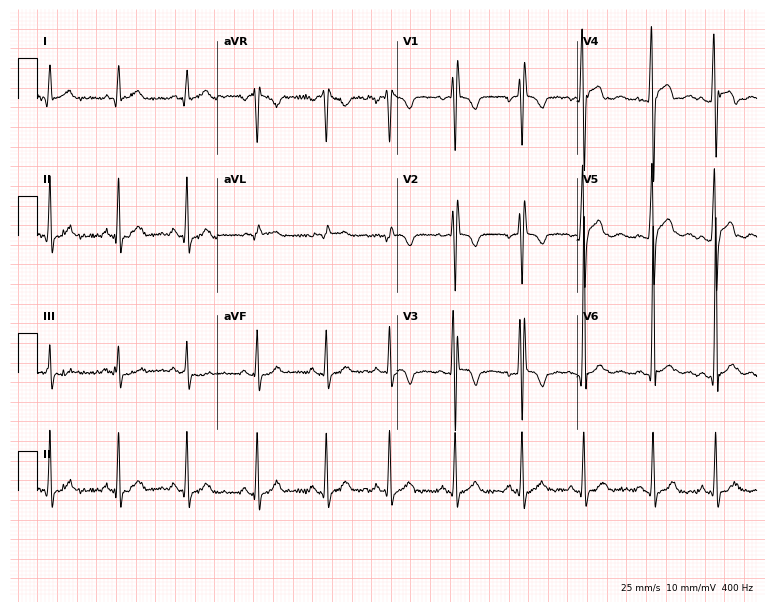
12-lead ECG from a 17-year-old male (7.3-second recording at 400 Hz). No first-degree AV block, right bundle branch block (RBBB), left bundle branch block (LBBB), sinus bradycardia, atrial fibrillation (AF) or sinus tachycardia recorded for this tracing.